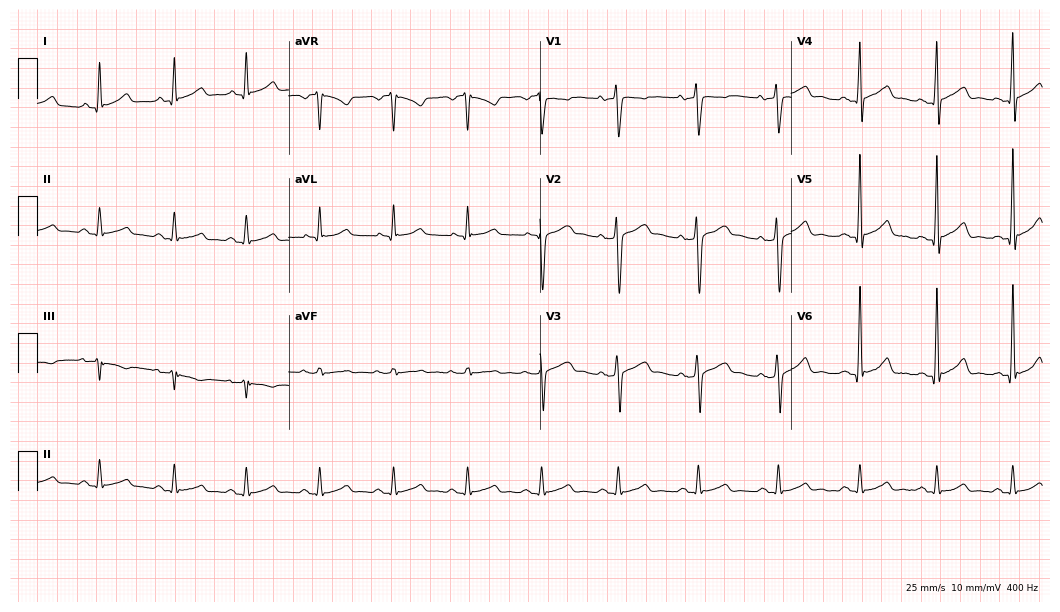
Resting 12-lead electrocardiogram (10.2-second recording at 400 Hz). Patient: a man, 73 years old. Read as a normal ECG.